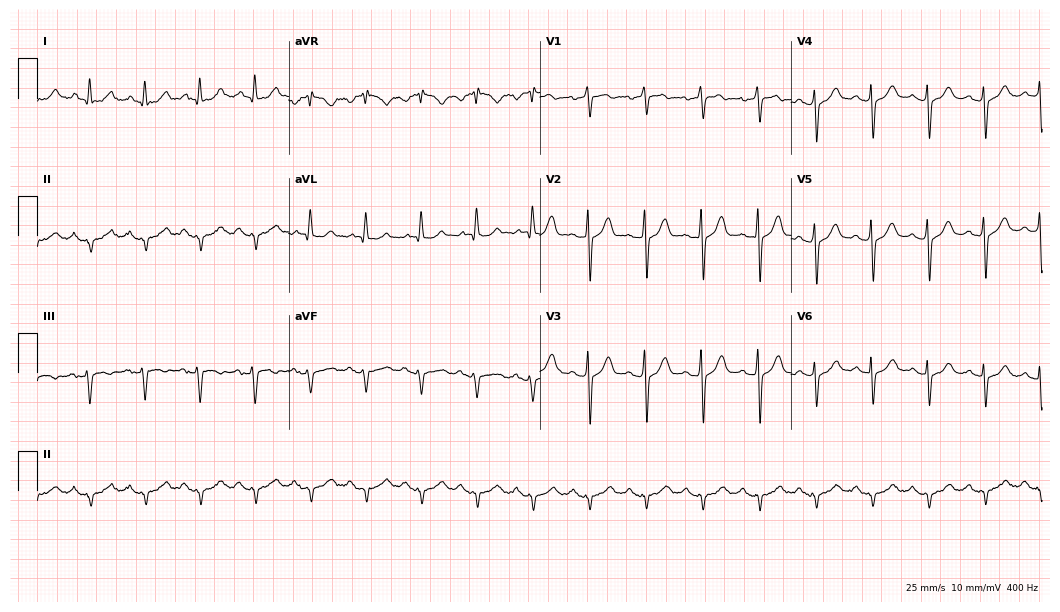
12-lead ECG (10.2-second recording at 400 Hz) from a male, 57 years old. Screened for six findings — first-degree AV block, right bundle branch block (RBBB), left bundle branch block (LBBB), sinus bradycardia, atrial fibrillation (AF), sinus tachycardia — none is recorded.